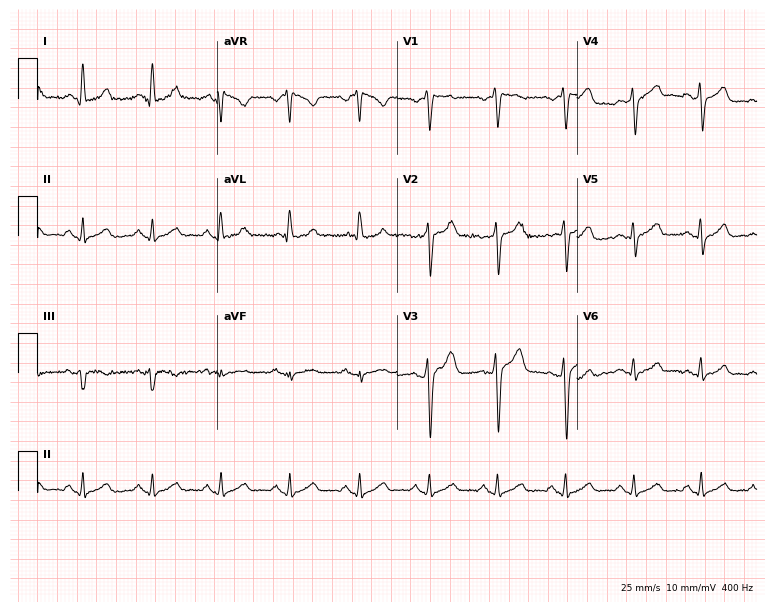
12-lead ECG from a female patient, 47 years old (7.3-second recording at 400 Hz). No first-degree AV block, right bundle branch block, left bundle branch block, sinus bradycardia, atrial fibrillation or sinus tachycardia recorded for this tracing. Findings outside these six are not listed.